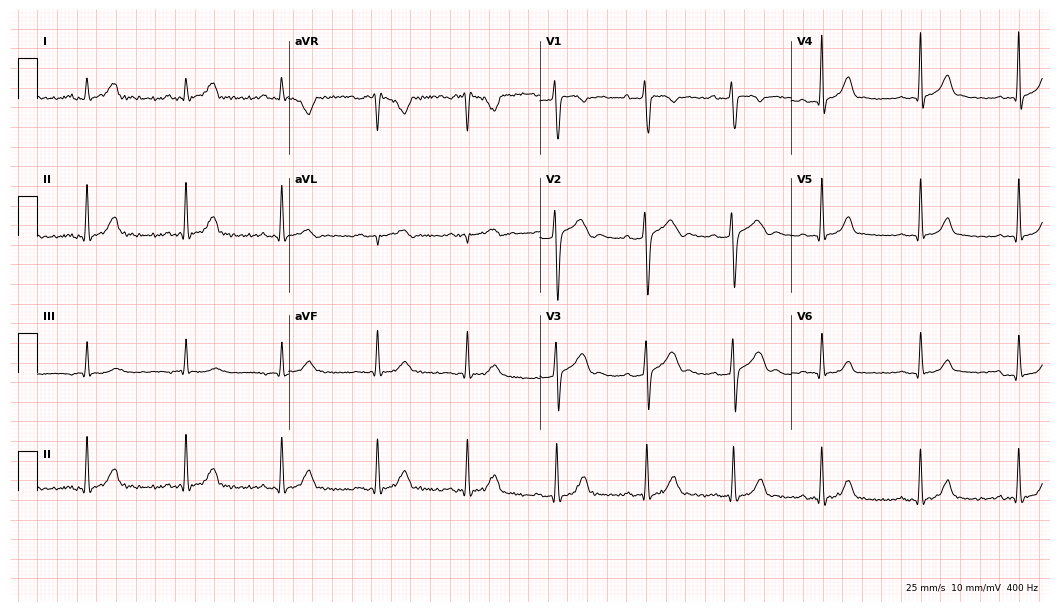
ECG (10.2-second recording at 400 Hz) — a male, 20 years old. Screened for six findings — first-degree AV block, right bundle branch block, left bundle branch block, sinus bradycardia, atrial fibrillation, sinus tachycardia — none is recorded. Other findings, if any, are not listed.